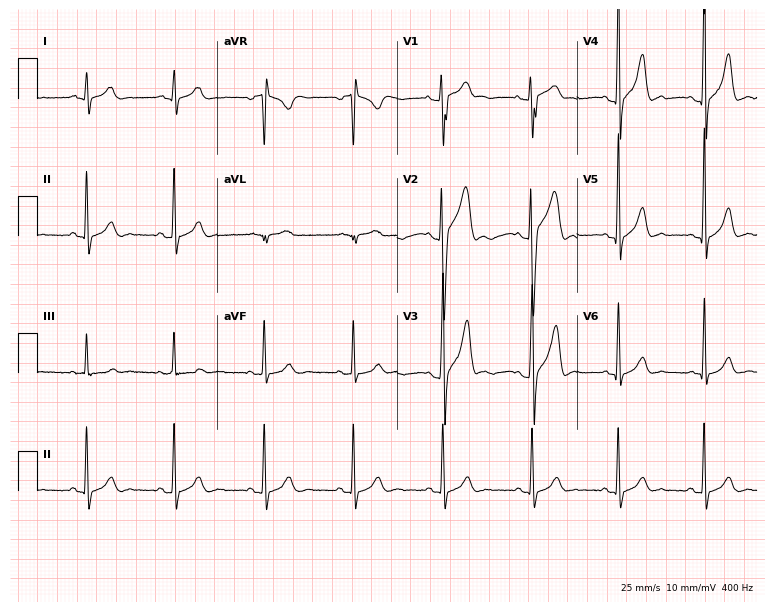
Resting 12-lead electrocardiogram. Patient: a 22-year-old male. Read as a normal ECG.